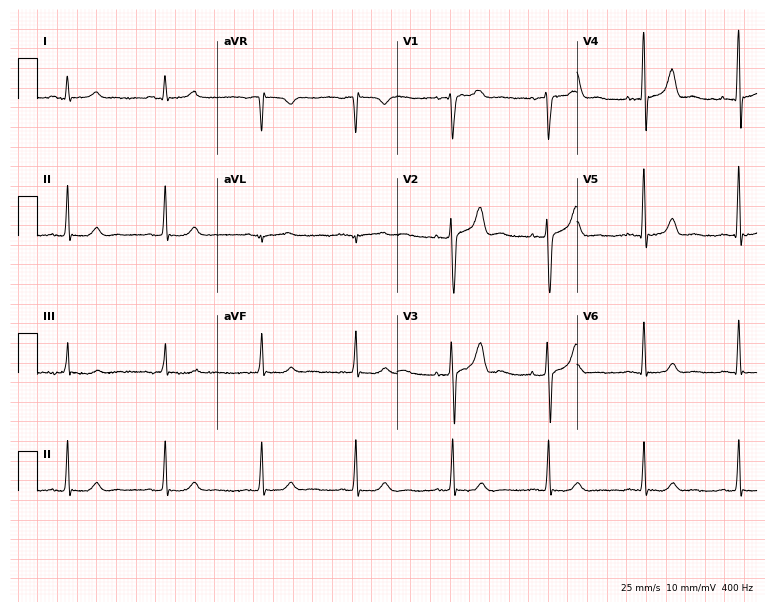
12-lead ECG from a 54-year-old male patient (7.3-second recording at 400 Hz). No first-degree AV block, right bundle branch block, left bundle branch block, sinus bradycardia, atrial fibrillation or sinus tachycardia recorded for this tracing.